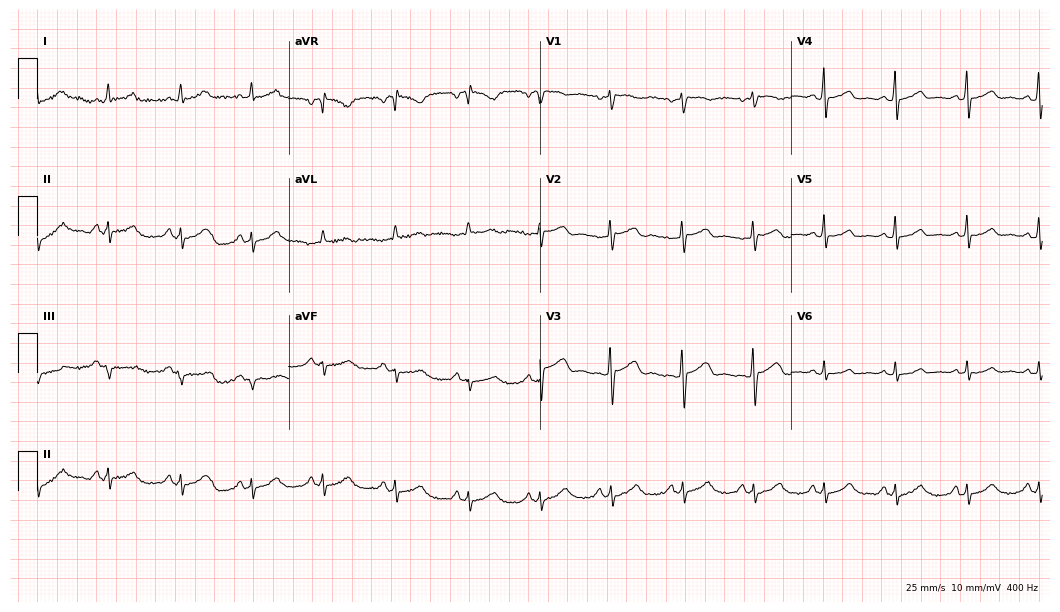
ECG — a female, 27 years old. Labelled as a normal ECG.